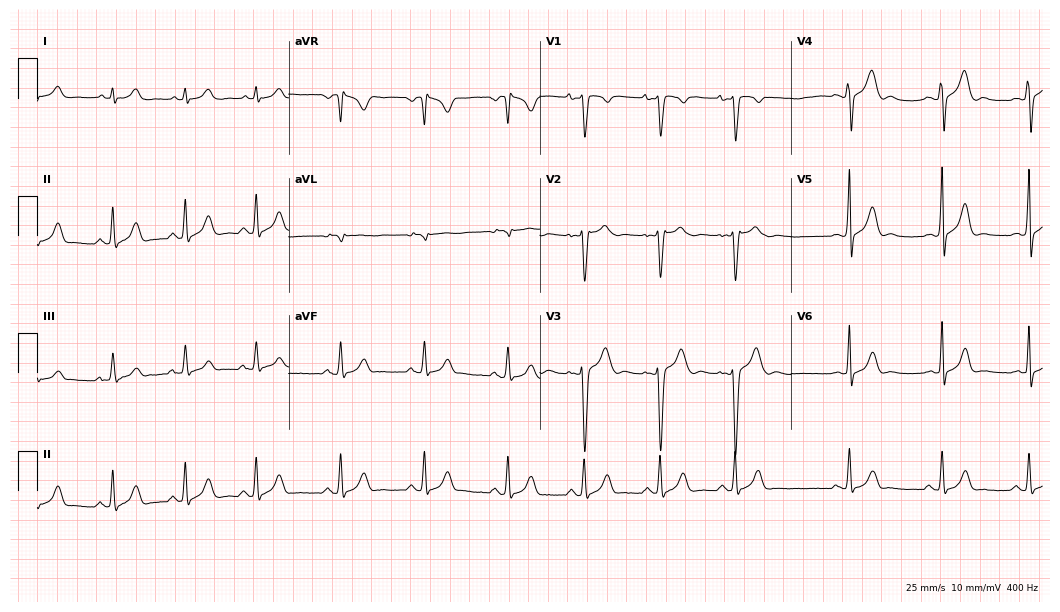
ECG (10.2-second recording at 400 Hz) — a male patient, 19 years old. Screened for six findings — first-degree AV block, right bundle branch block, left bundle branch block, sinus bradycardia, atrial fibrillation, sinus tachycardia — none is recorded.